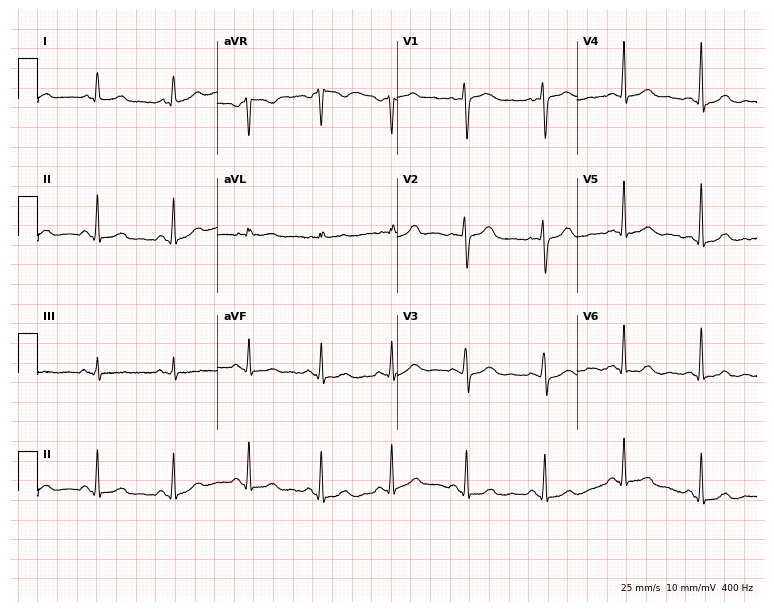
Resting 12-lead electrocardiogram (7.3-second recording at 400 Hz). Patient: a female, 45 years old. None of these six findings is recorded: first-degree AV block, right bundle branch block, left bundle branch block, sinus bradycardia, atrial fibrillation, sinus tachycardia. Findings outside these six are not listed.